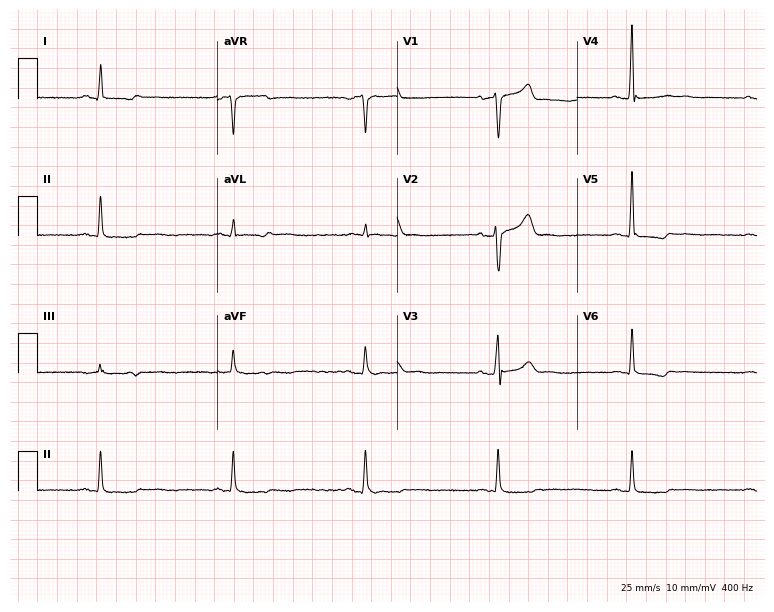
12-lead ECG (7.3-second recording at 400 Hz) from a 67-year-old man. Findings include sinus bradycardia (a sinus rate of 50 beats per minute or less).